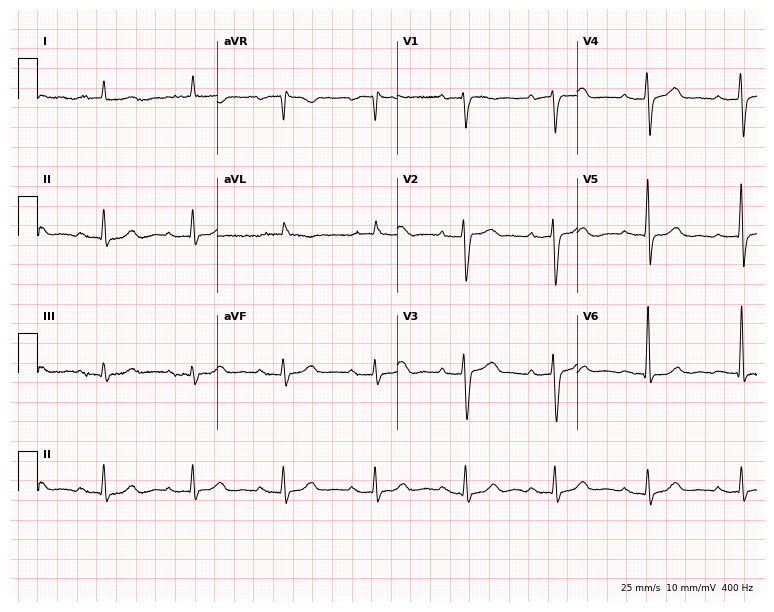
Standard 12-lead ECG recorded from an 84-year-old male. The tracing shows first-degree AV block.